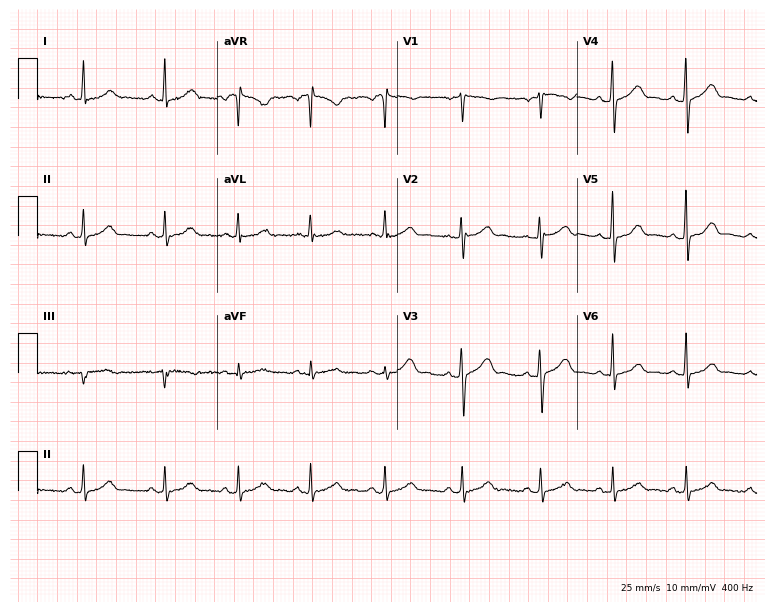
12-lead ECG from a woman, 28 years old. Screened for six findings — first-degree AV block, right bundle branch block (RBBB), left bundle branch block (LBBB), sinus bradycardia, atrial fibrillation (AF), sinus tachycardia — none is recorded.